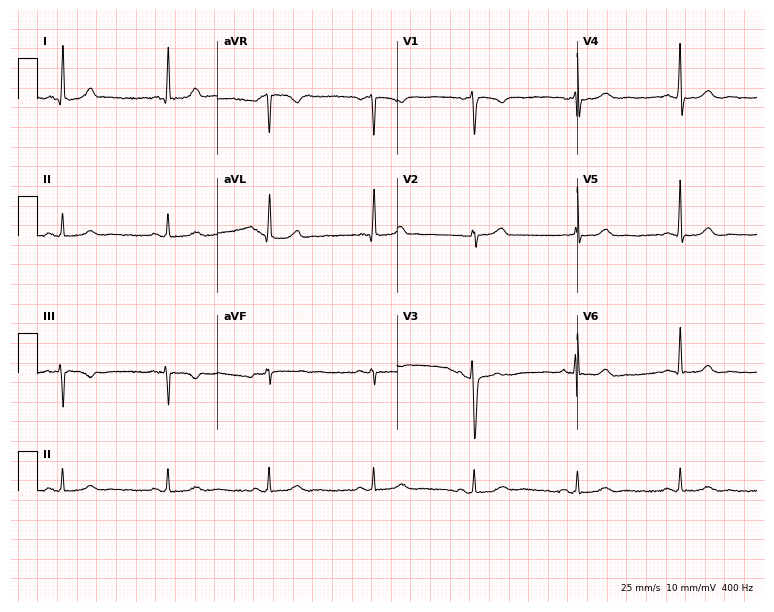
12-lead ECG from a female, 35 years old. Screened for six findings — first-degree AV block, right bundle branch block, left bundle branch block, sinus bradycardia, atrial fibrillation, sinus tachycardia — none is recorded.